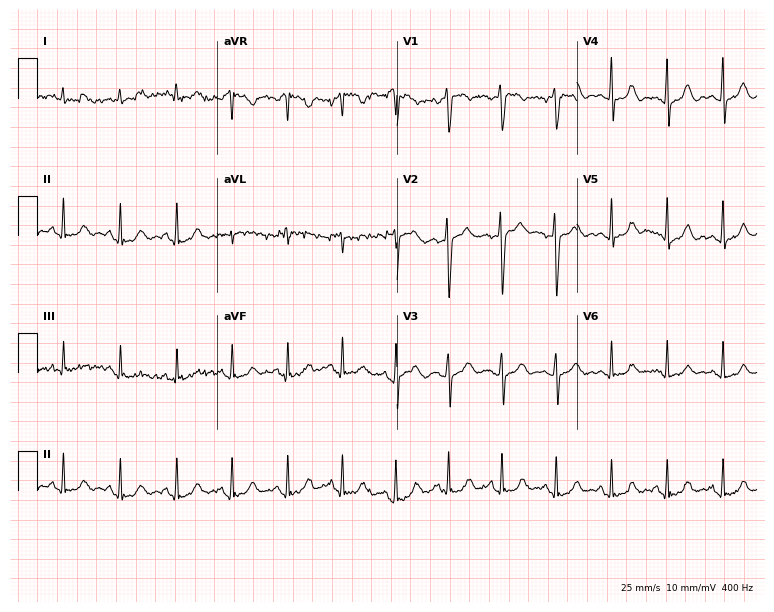
ECG — a female patient, 33 years old. Screened for six findings — first-degree AV block, right bundle branch block, left bundle branch block, sinus bradycardia, atrial fibrillation, sinus tachycardia — none is recorded.